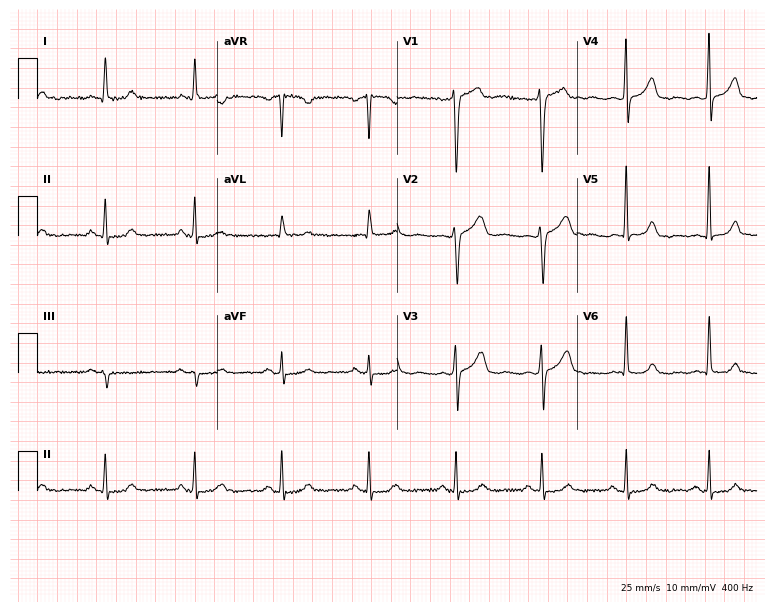
Electrocardiogram, a female patient, 62 years old. Of the six screened findings (first-degree AV block, right bundle branch block (RBBB), left bundle branch block (LBBB), sinus bradycardia, atrial fibrillation (AF), sinus tachycardia), none is recorded. Only these six findings were labelled.